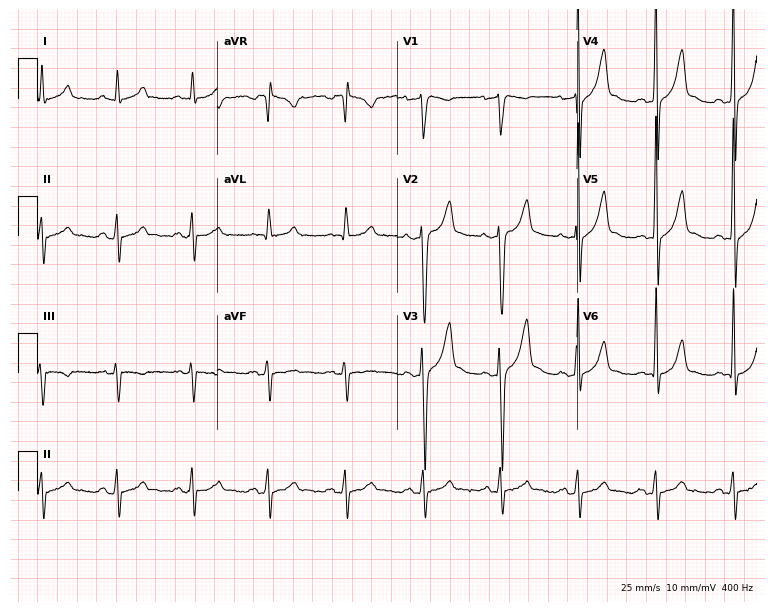
Electrocardiogram (7.3-second recording at 400 Hz), a 53-year-old man. Of the six screened findings (first-degree AV block, right bundle branch block (RBBB), left bundle branch block (LBBB), sinus bradycardia, atrial fibrillation (AF), sinus tachycardia), none is recorded.